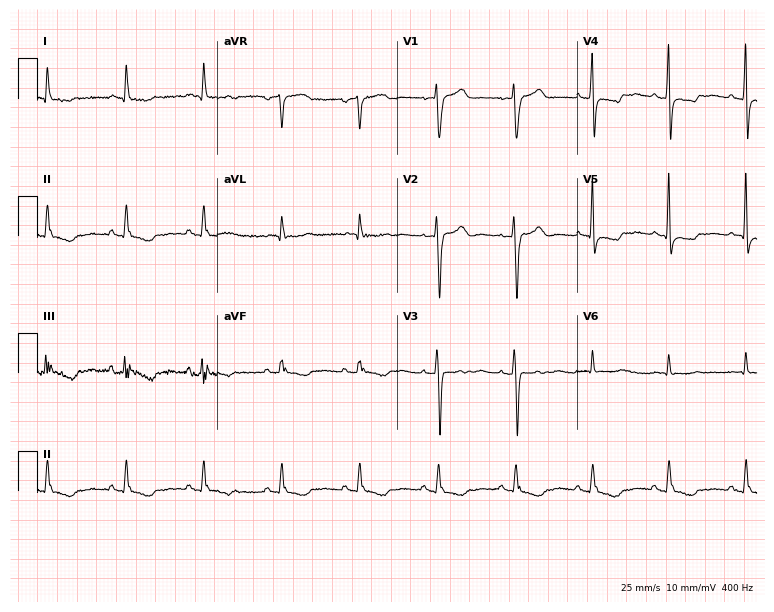
12-lead ECG from a 70-year-old female. Screened for six findings — first-degree AV block, right bundle branch block, left bundle branch block, sinus bradycardia, atrial fibrillation, sinus tachycardia — none is recorded. Other findings, if any, are not listed.